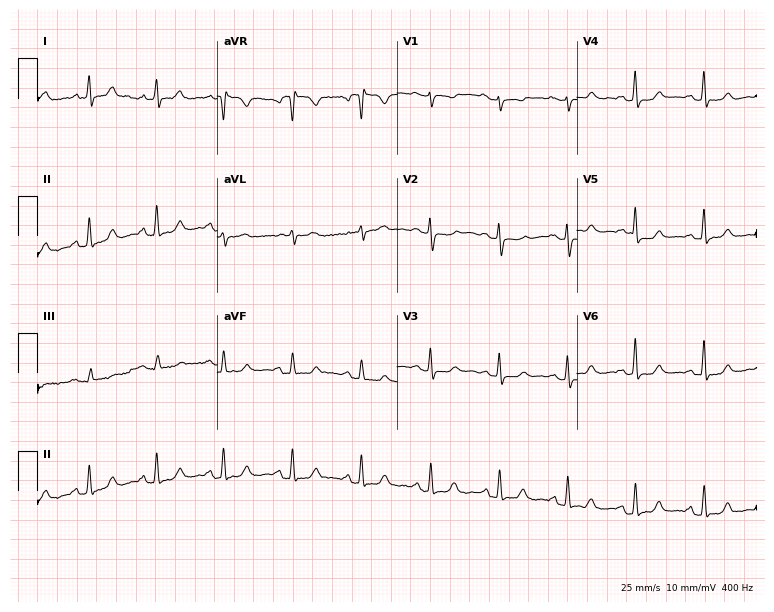
Standard 12-lead ECG recorded from a female patient, 58 years old. None of these six findings is recorded: first-degree AV block, right bundle branch block, left bundle branch block, sinus bradycardia, atrial fibrillation, sinus tachycardia.